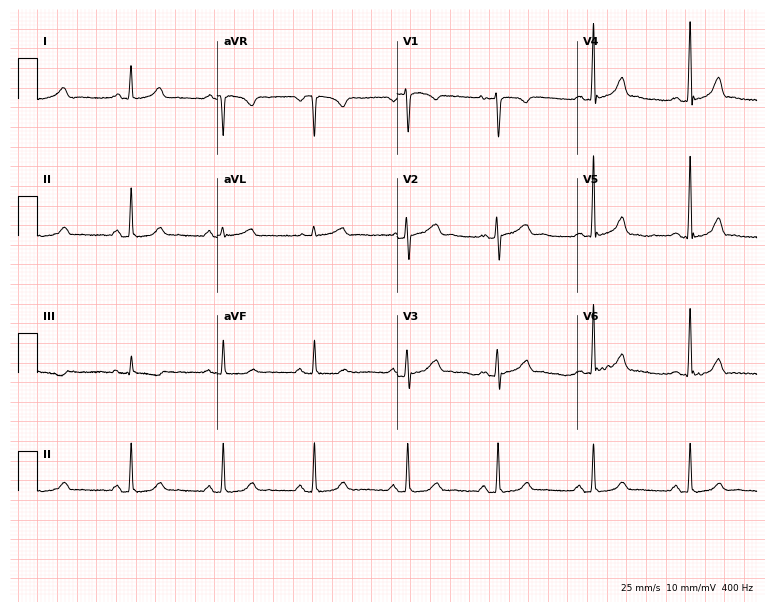
Resting 12-lead electrocardiogram. Patient: a female, 30 years old. Read as a normal ECG.